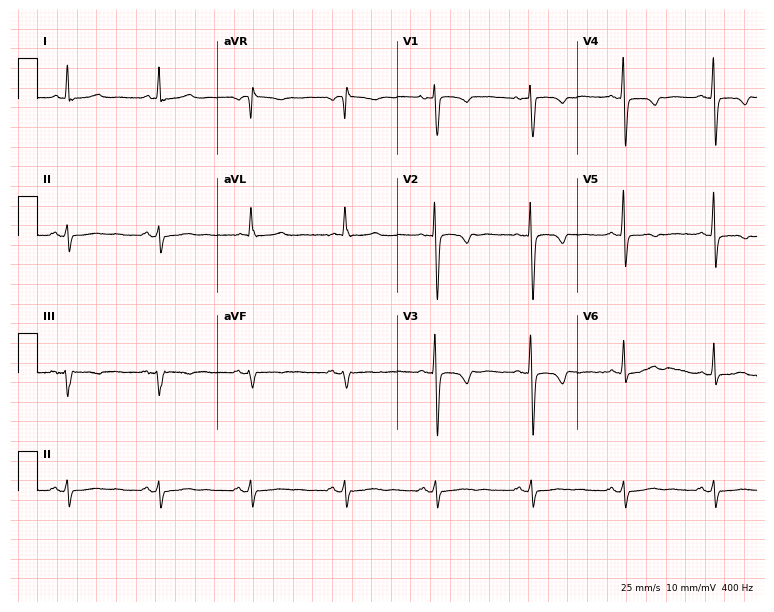
Standard 12-lead ECG recorded from a 78-year-old female patient (7.3-second recording at 400 Hz). None of these six findings is recorded: first-degree AV block, right bundle branch block (RBBB), left bundle branch block (LBBB), sinus bradycardia, atrial fibrillation (AF), sinus tachycardia. Findings outside these six are not listed.